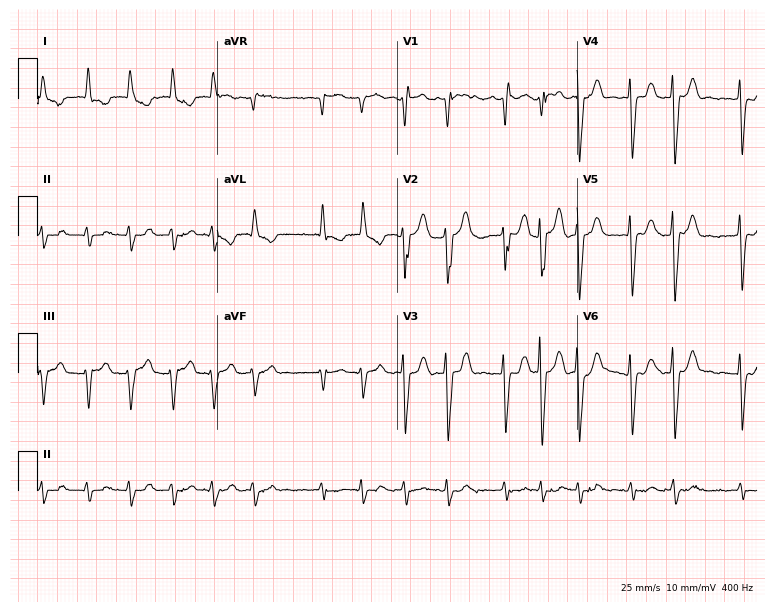
12-lead ECG from an 83-year-old male. Shows atrial fibrillation.